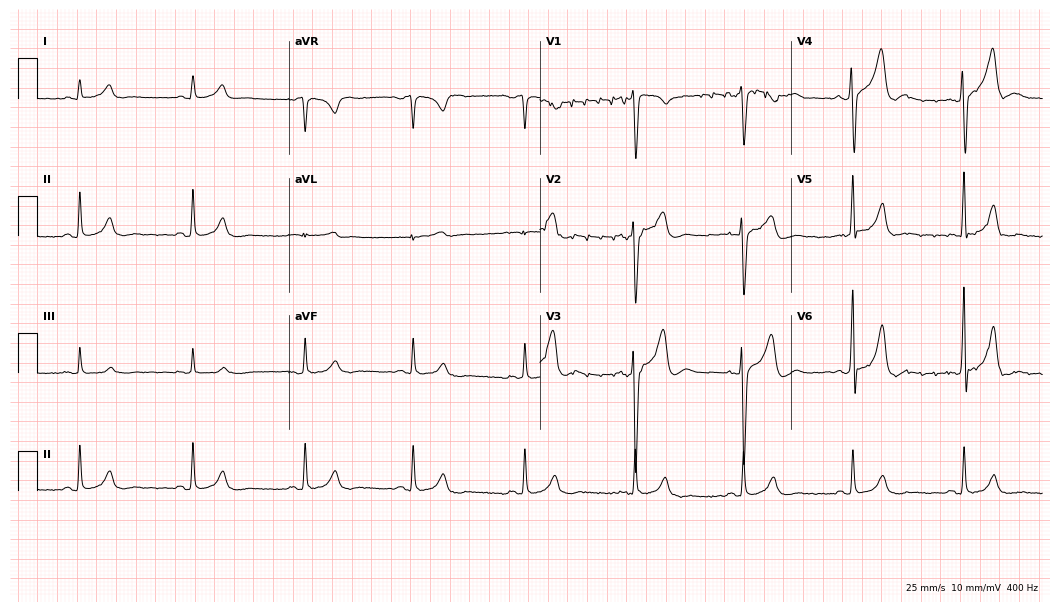
12-lead ECG (10.2-second recording at 400 Hz) from a 33-year-old male patient. Labelled as a normal ECG.